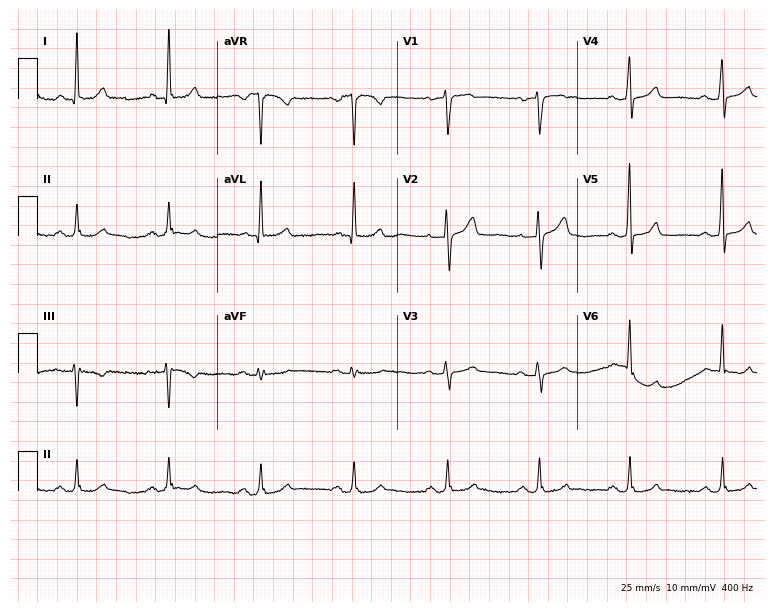
Electrocardiogram, a woman, 59 years old. Overall reading on record: normal ECG.